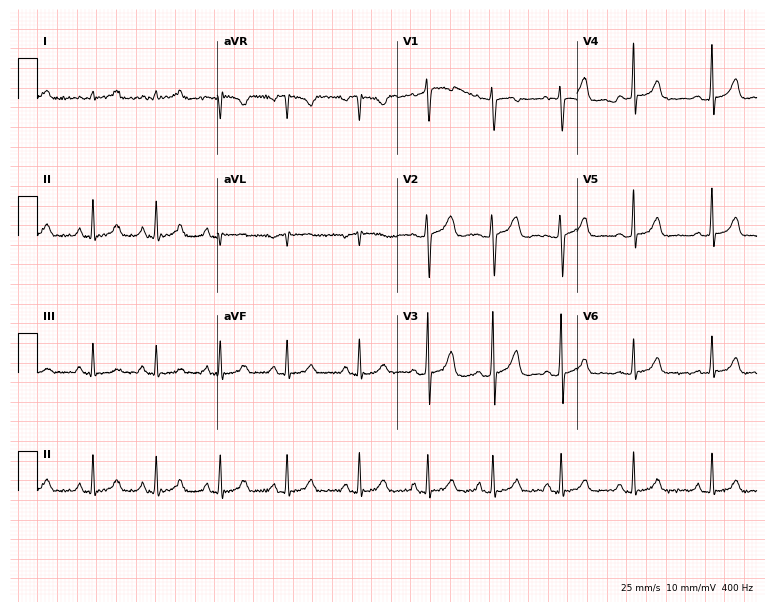
Resting 12-lead electrocardiogram (7.3-second recording at 400 Hz). Patient: a 25-year-old woman. Read as a normal ECG.